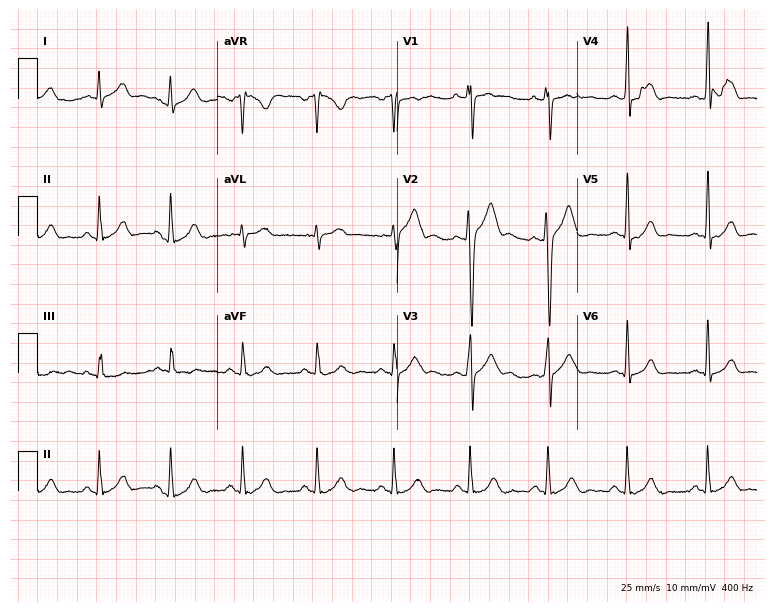
Resting 12-lead electrocardiogram (7.3-second recording at 400 Hz). Patient: a 23-year-old man. Read as a normal ECG.